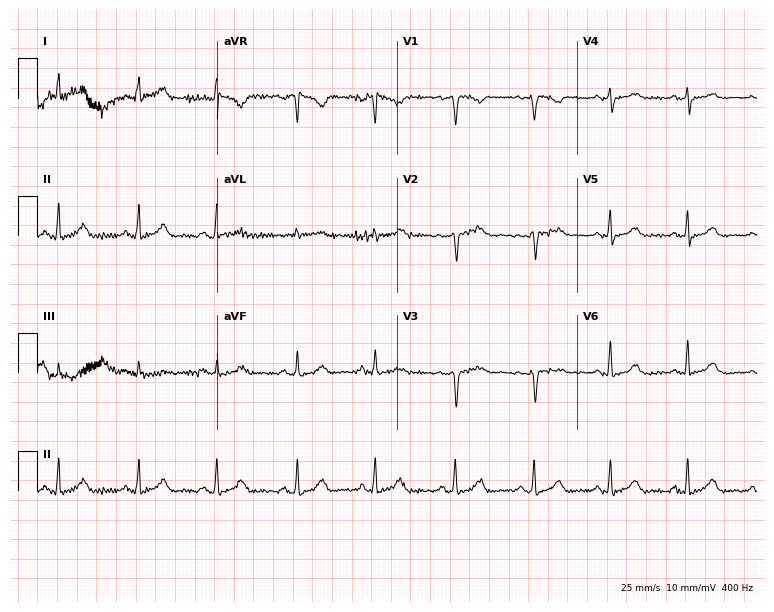
12-lead ECG (7.3-second recording at 400 Hz) from a 38-year-old female. Screened for six findings — first-degree AV block, right bundle branch block, left bundle branch block, sinus bradycardia, atrial fibrillation, sinus tachycardia — none is recorded.